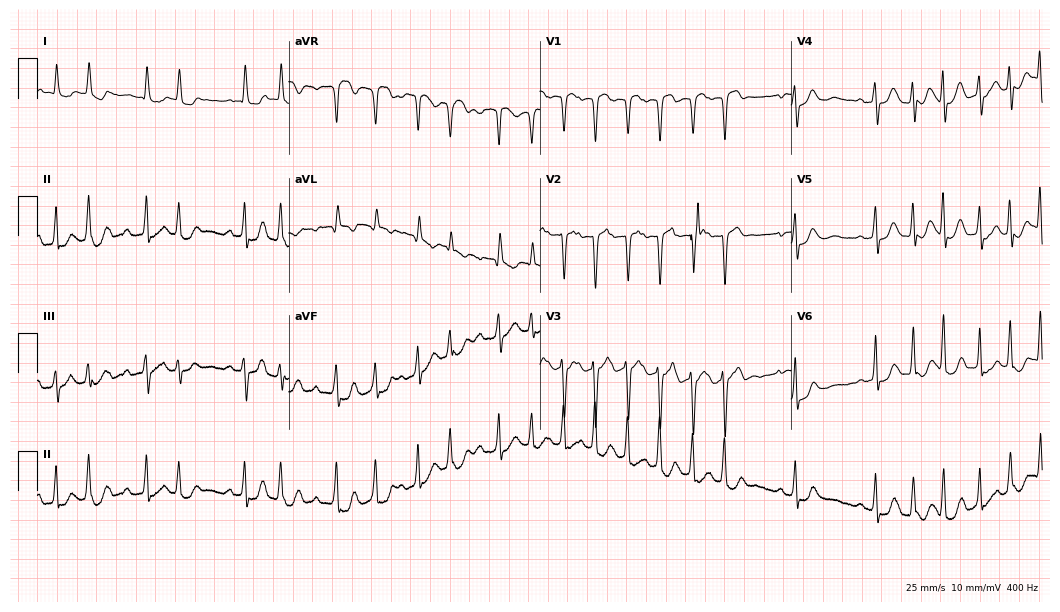
Electrocardiogram, a female, 76 years old. Interpretation includes atrial fibrillation, sinus tachycardia (a sinus rate of 100 beats per minute or more).